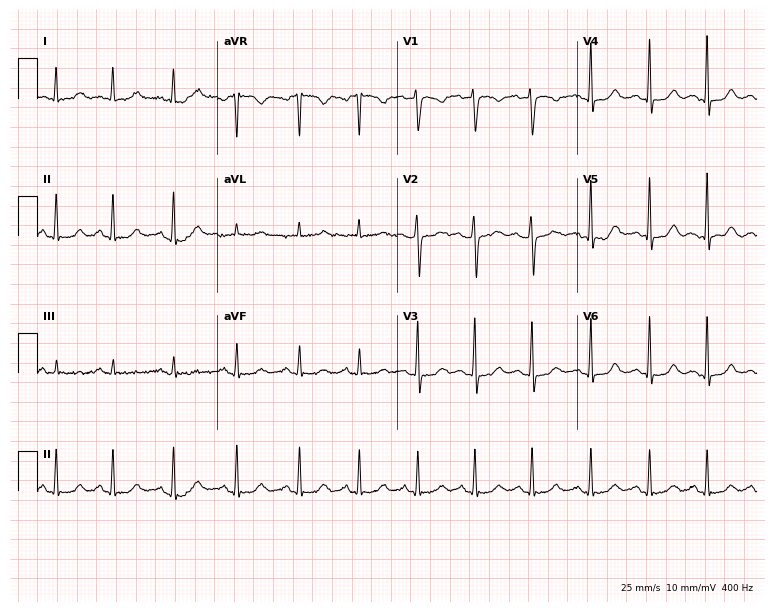
12-lead ECG from a 36-year-old female patient. No first-degree AV block, right bundle branch block (RBBB), left bundle branch block (LBBB), sinus bradycardia, atrial fibrillation (AF) or sinus tachycardia recorded for this tracing. Findings outside these six are not listed.